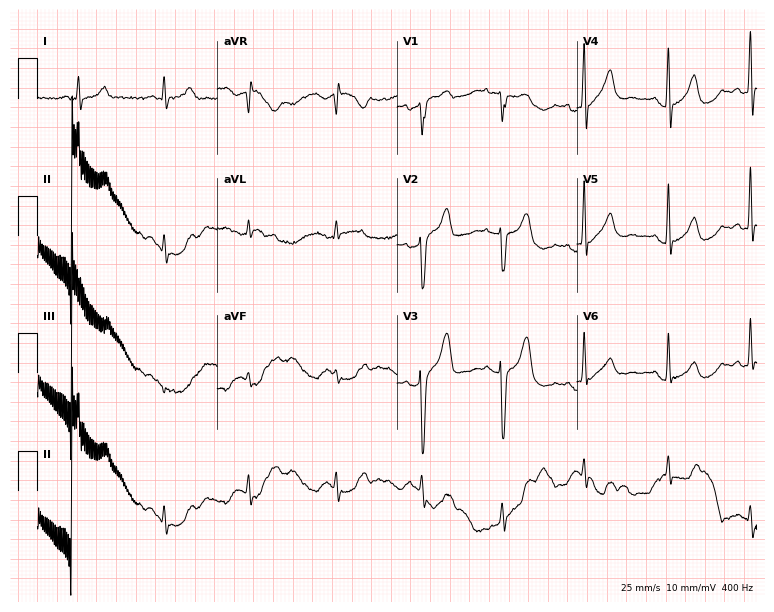
Standard 12-lead ECG recorded from a 33-year-old male. None of these six findings is recorded: first-degree AV block, right bundle branch block (RBBB), left bundle branch block (LBBB), sinus bradycardia, atrial fibrillation (AF), sinus tachycardia. Only these six findings were labelled.